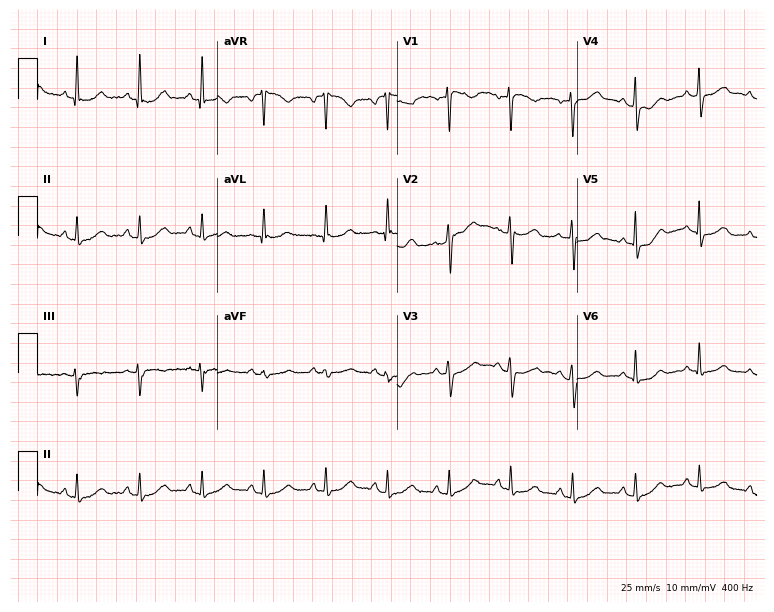
ECG — a female patient, 53 years old. Labelled as a normal ECG.